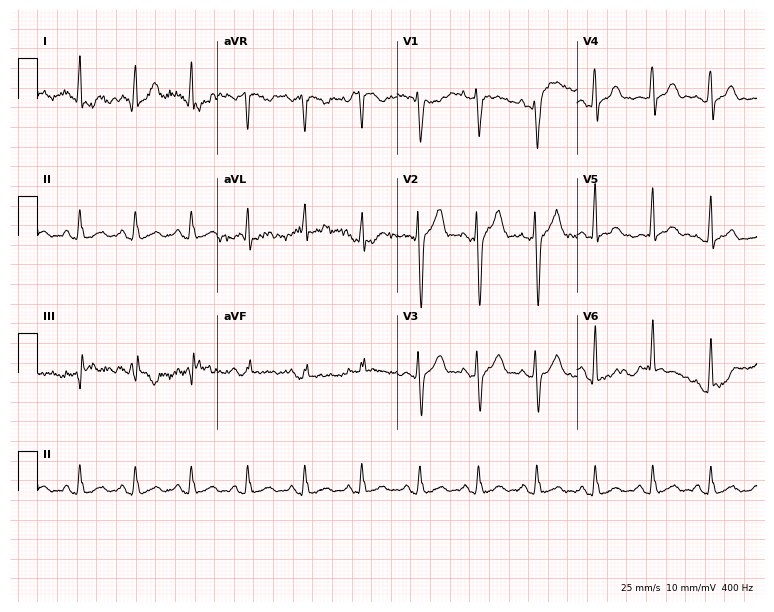
Resting 12-lead electrocardiogram (7.3-second recording at 400 Hz). Patient: a 47-year-old male. The tracing shows sinus tachycardia (a sinus rate of 100 beats per minute or more).